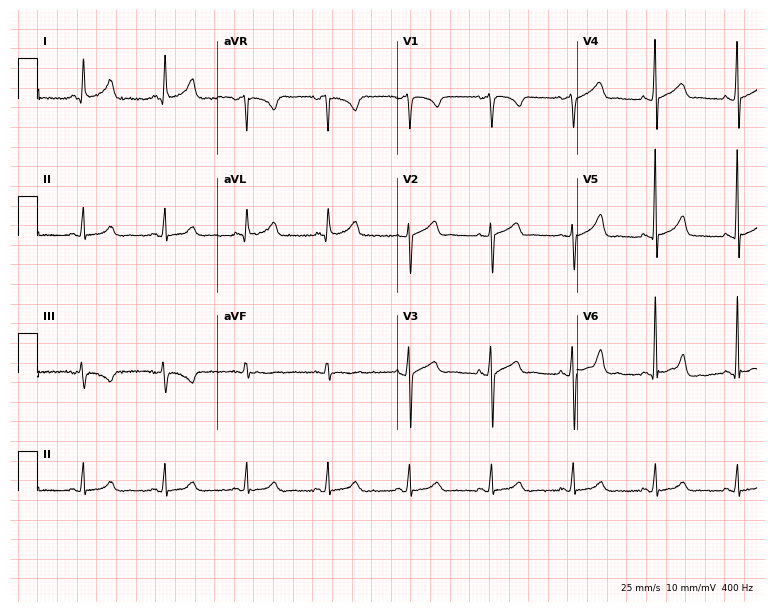
ECG (7.3-second recording at 400 Hz) — a female, 38 years old. Labelled as a normal ECG.